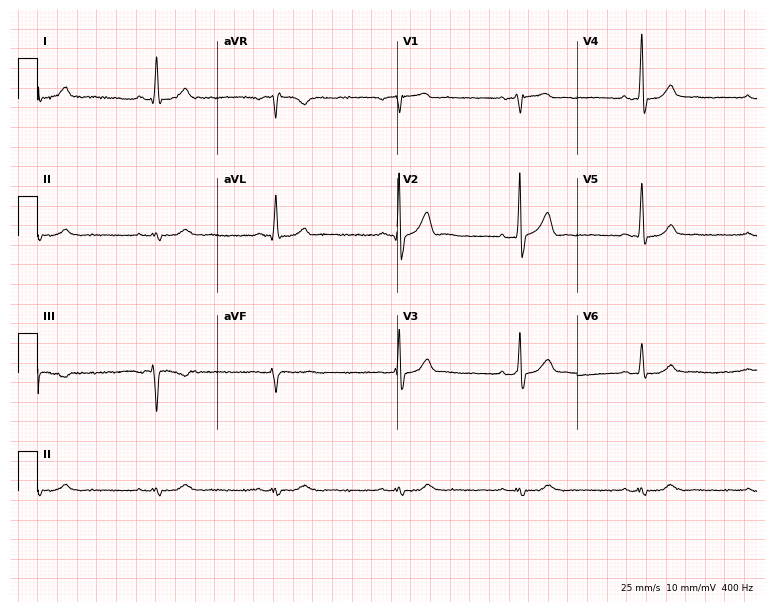
Standard 12-lead ECG recorded from a 58-year-old male. The tracing shows sinus bradycardia (a sinus rate of 50 beats per minute or less).